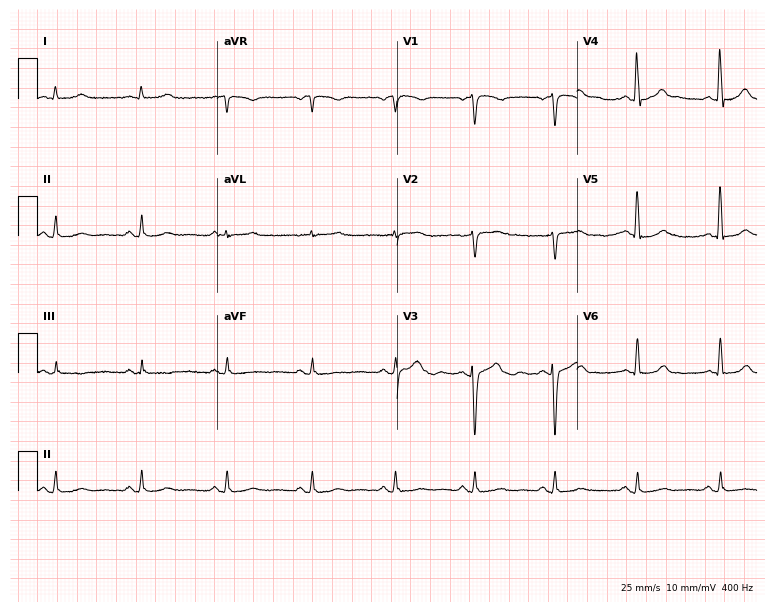
12-lead ECG from a 44-year-old female patient. Screened for six findings — first-degree AV block, right bundle branch block, left bundle branch block, sinus bradycardia, atrial fibrillation, sinus tachycardia — none is recorded.